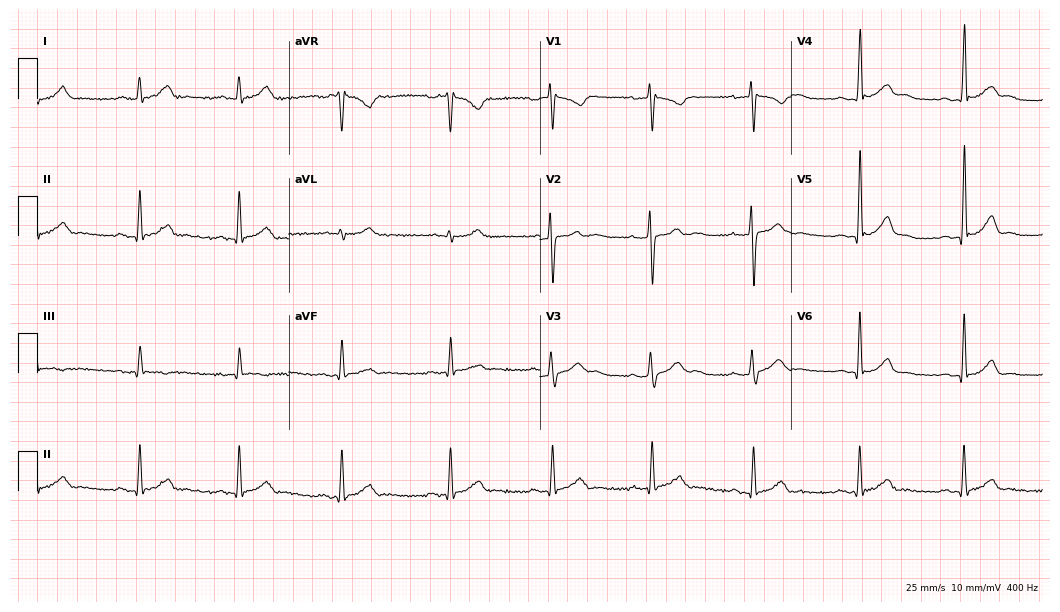
Electrocardiogram (10.2-second recording at 400 Hz), a male, 35 years old. Overall reading on record: normal ECG.